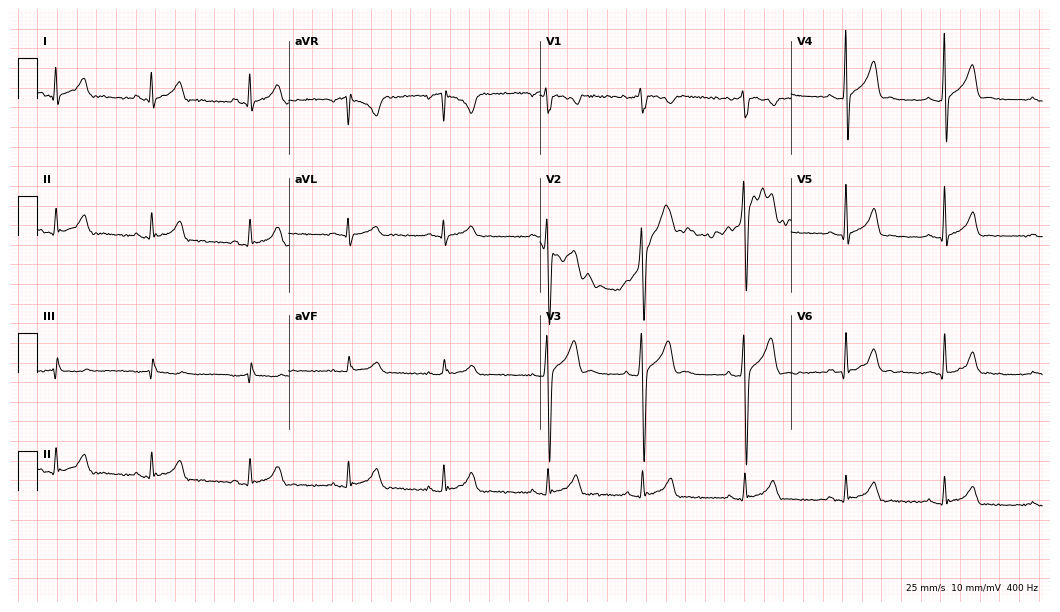
ECG (10.2-second recording at 400 Hz) — a man, 24 years old. Screened for six findings — first-degree AV block, right bundle branch block, left bundle branch block, sinus bradycardia, atrial fibrillation, sinus tachycardia — none is recorded. Only these six findings were labelled.